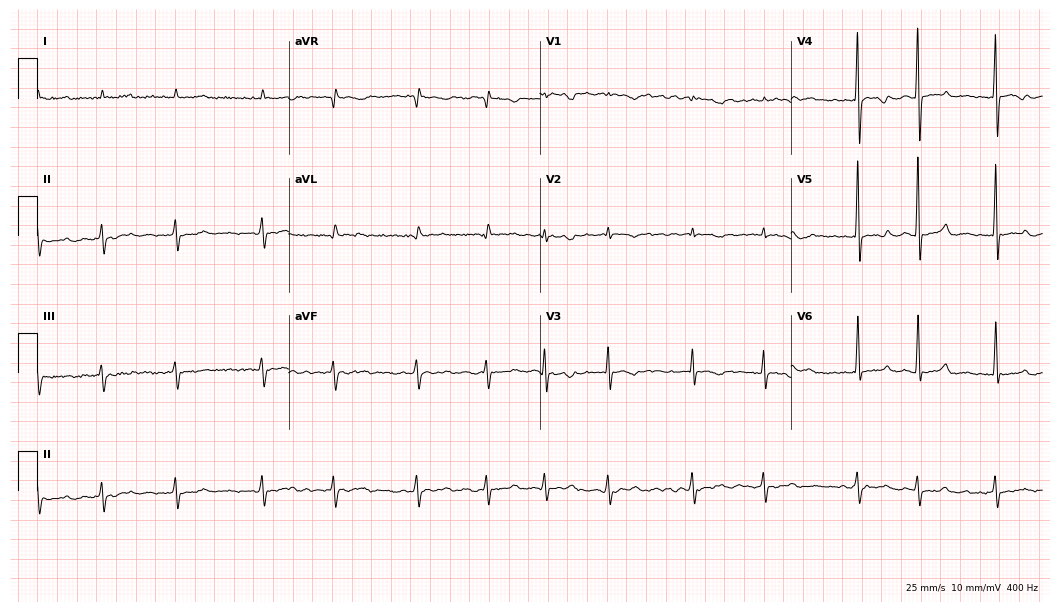
12-lead ECG from a male patient, 79 years old. Shows atrial fibrillation.